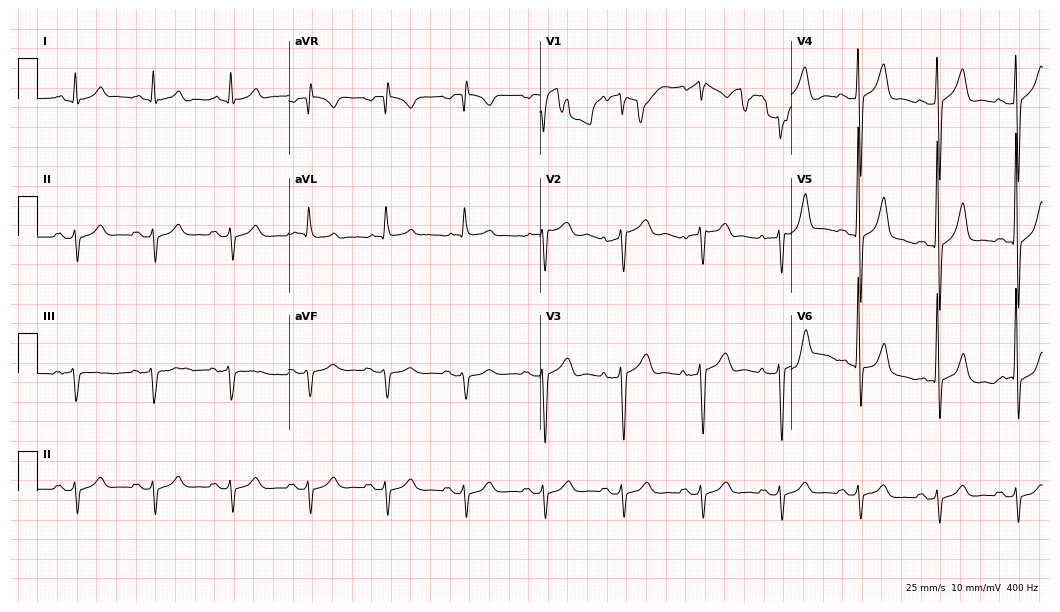
Standard 12-lead ECG recorded from a male, 65 years old. None of these six findings is recorded: first-degree AV block, right bundle branch block (RBBB), left bundle branch block (LBBB), sinus bradycardia, atrial fibrillation (AF), sinus tachycardia. Findings outside these six are not listed.